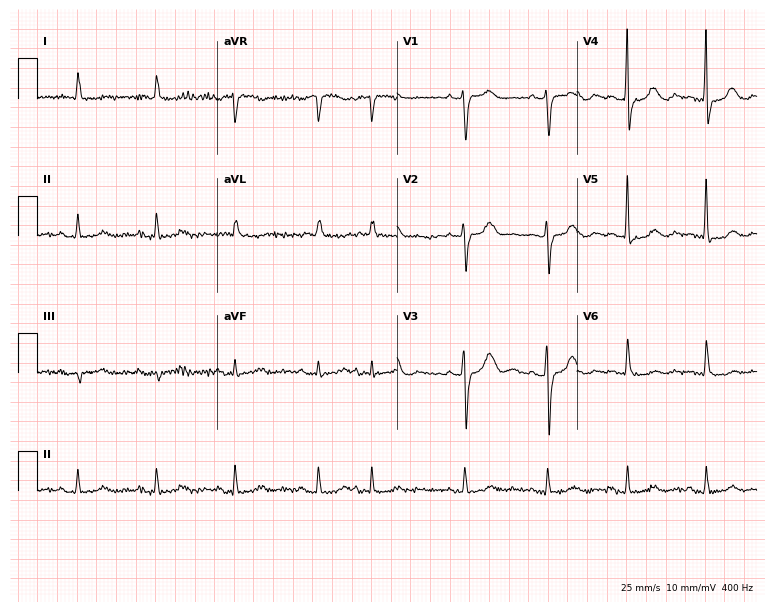
Electrocardiogram, a woman, 85 years old. Of the six screened findings (first-degree AV block, right bundle branch block (RBBB), left bundle branch block (LBBB), sinus bradycardia, atrial fibrillation (AF), sinus tachycardia), none is recorded.